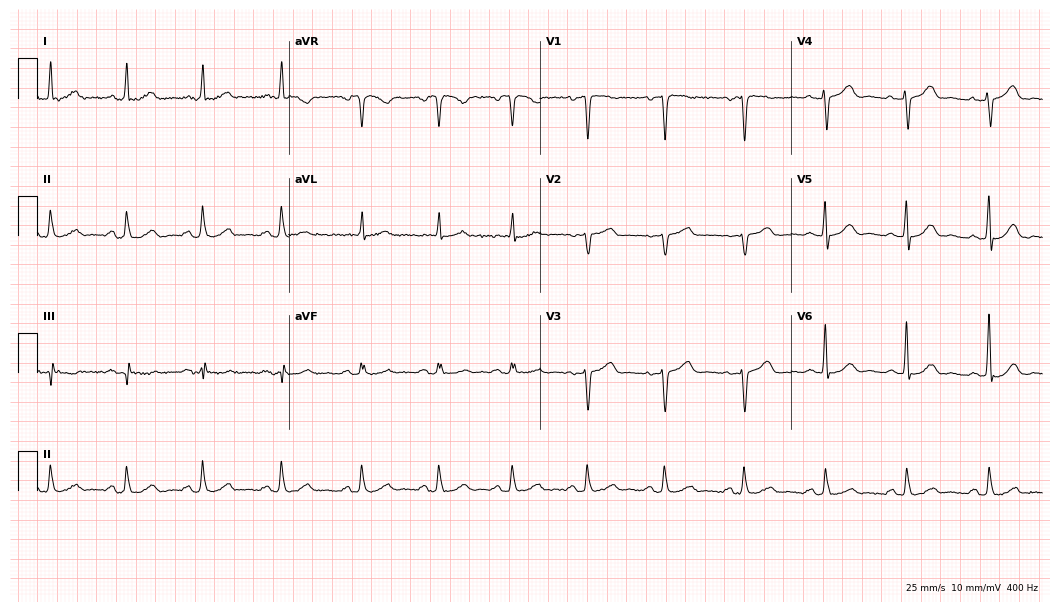
12-lead ECG (10.2-second recording at 400 Hz) from a 55-year-old female. Labelled as a normal ECG.